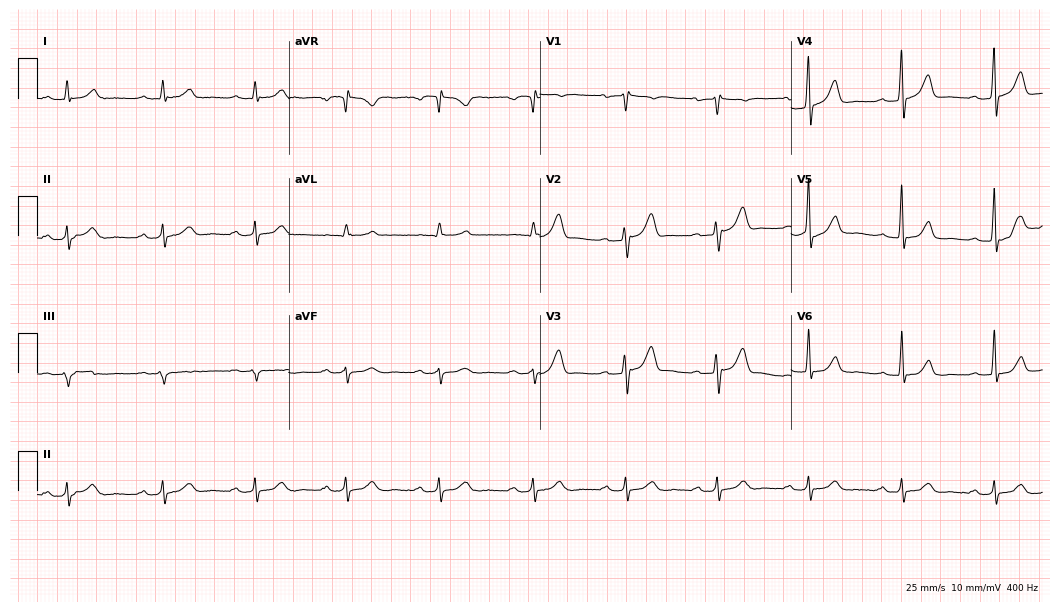
12-lead ECG from a man, 41 years old (10.2-second recording at 400 Hz). Recorded interpretation: within normal limits.